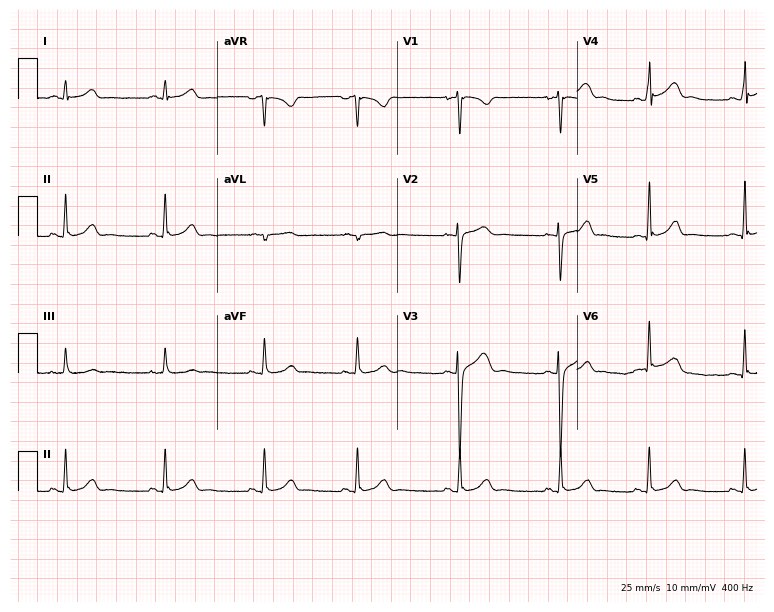
Resting 12-lead electrocardiogram. Patient: a female, 20 years old. Read as a normal ECG.